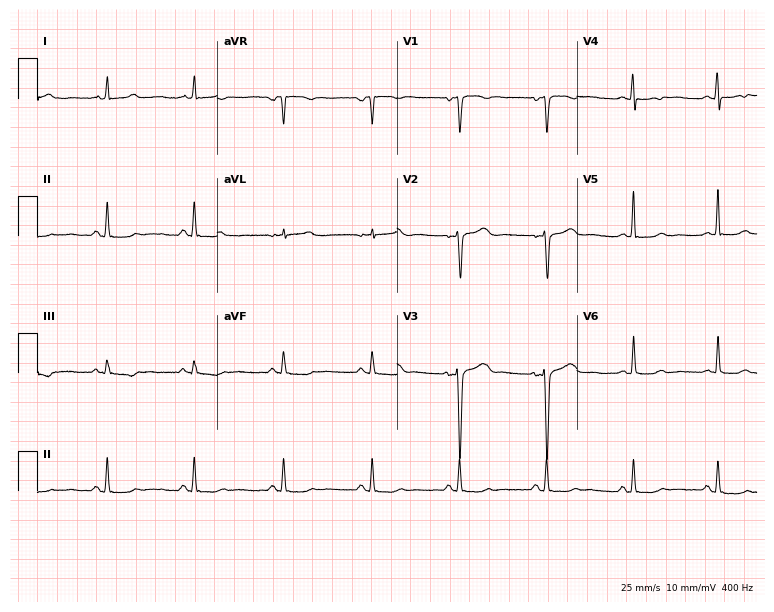
Resting 12-lead electrocardiogram (7.3-second recording at 400 Hz). Patient: a 24-year-old female. None of these six findings is recorded: first-degree AV block, right bundle branch block, left bundle branch block, sinus bradycardia, atrial fibrillation, sinus tachycardia. Findings outside these six are not listed.